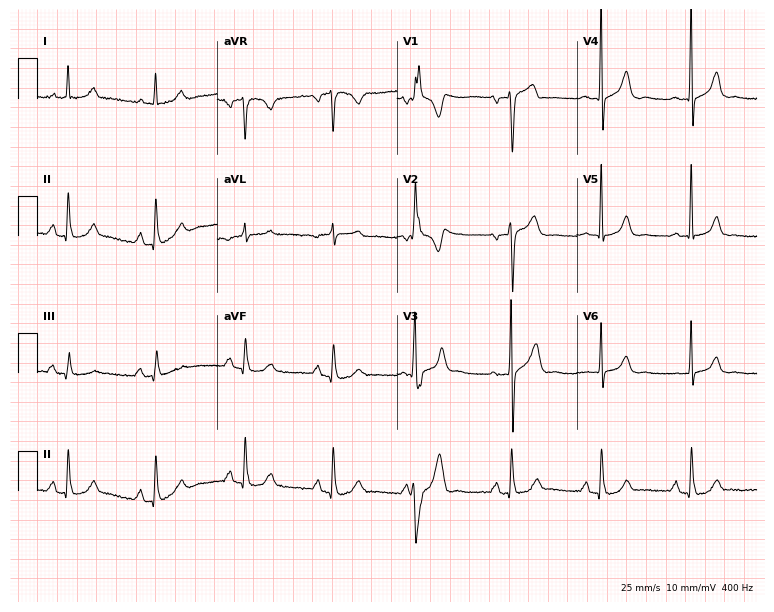
12-lead ECG from a female patient, 77 years old (7.3-second recording at 400 Hz). No first-degree AV block, right bundle branch block, left bundle branch block, sinus bradycardia, atrial fibrillation or sinus tachycardia recorded for this tracing.